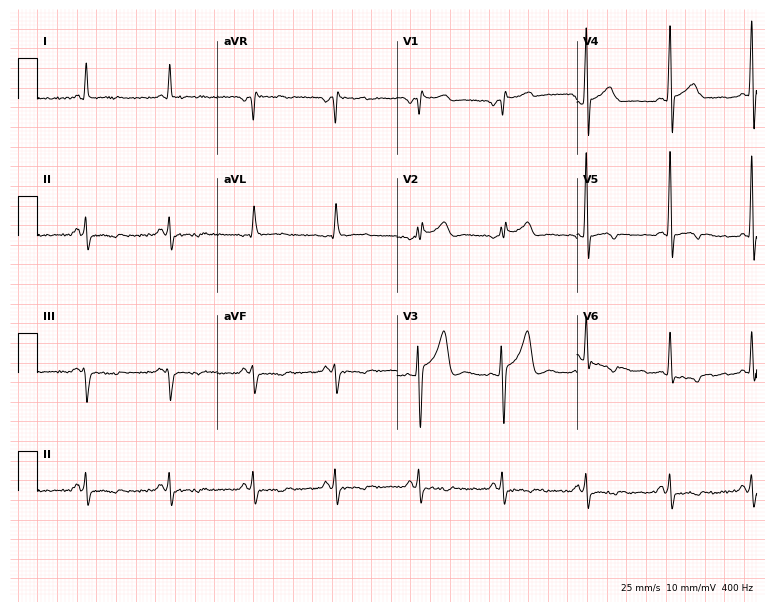
Electrocardiogram (7.3-second recording at 400 Hz), a woman, 47 years old. Of the six screened findings (first-degree AV block, right bundle branch block (RBBB), left bundle branch block (LBBB), sinus bradycardia, atrial fibrillation (AF), sinus tachycardia), none is recorded.